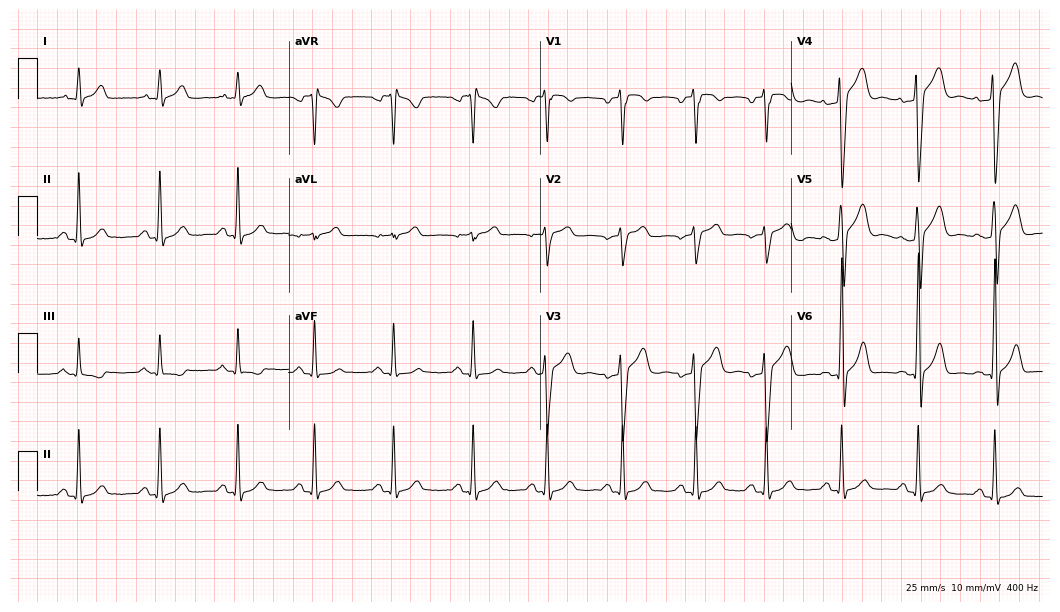
Resting 12-lead electrocardiogram. Patient: a 39-year-old male. None of these six findings is recorded: first-degree AV block, right bundle branch block, left bundle branch block, sinus bradycardia, atrial fibrillation, sinus tachycardia. Findings outside these six are not listed.